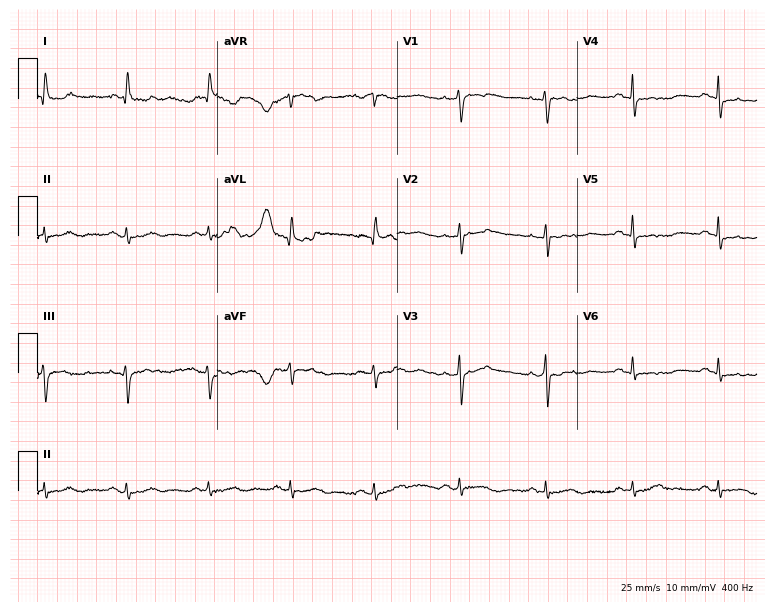
12-lead ECG from a female patient, 47 years old. Recorded interpretation: within normal limits.